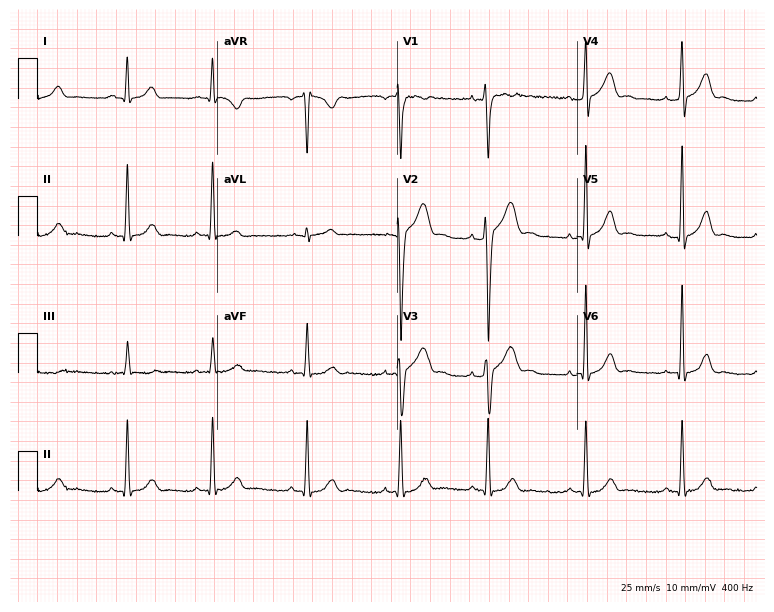
Standard 12-lead ECG recorded from a 23-year-old man. Read as a normal ECG.